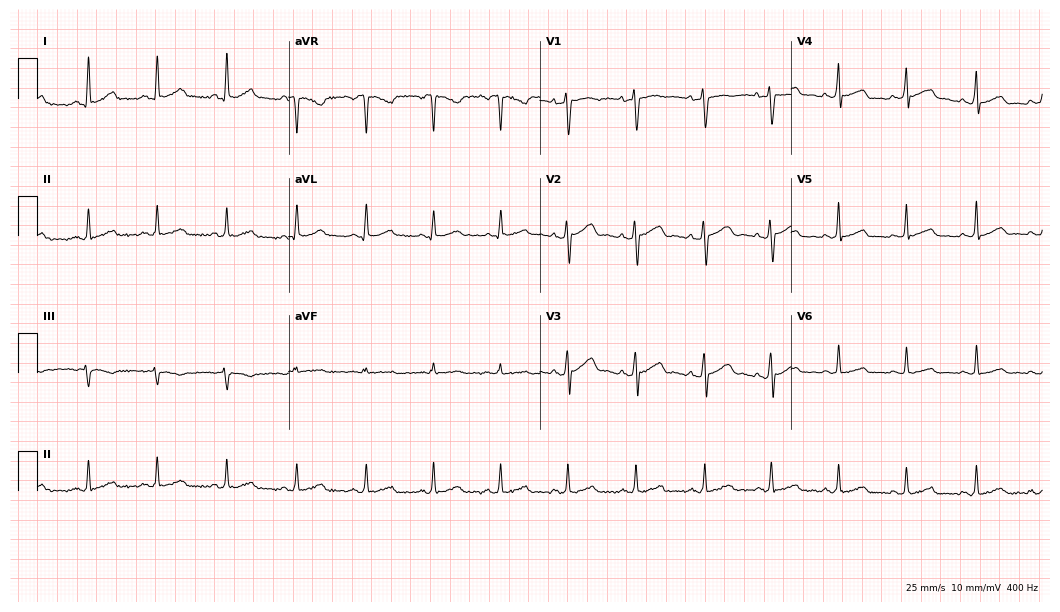
Electrocardiogram (10.2-second recording at 400 Hz), a 27-year-old female patient. Overall reading on record: normal ECG.